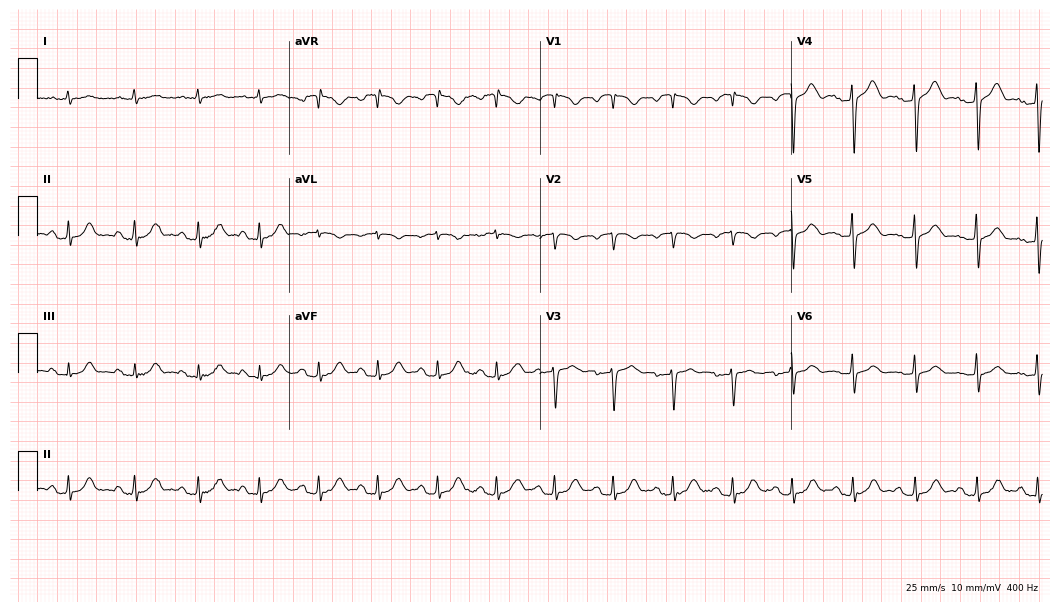
12-lead ECG from a male patient, 74 years old (10.2-second recording at 400 Hz). No first-degree AV block, right bundle branch block, left bundle branch block, sinus bradycardia, atrial fibrillation or sinus tachycardia recorded for this tracing.